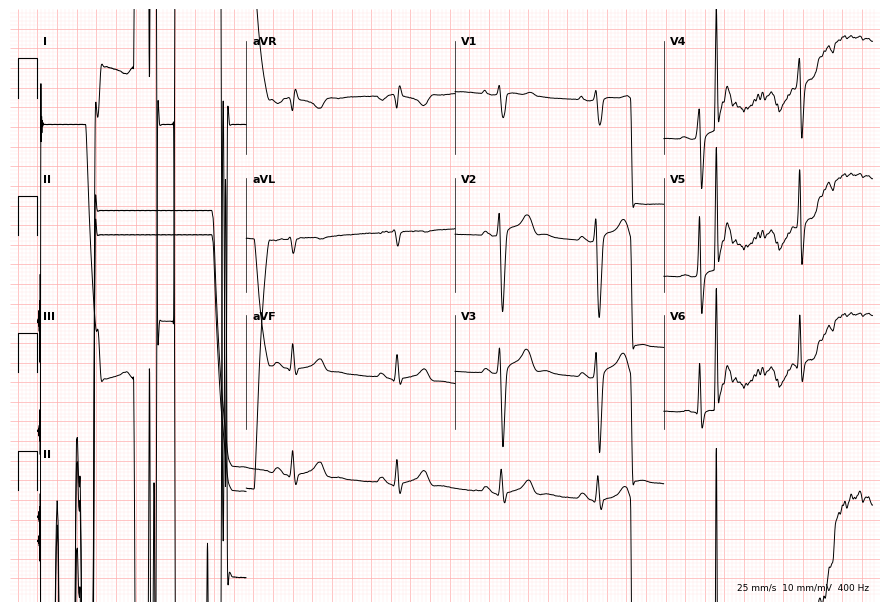
12-lead ECG from a female patient, 31 years old. No first-degree AV block, right bundle branch block, left bundle branch block, sinus bradycardia, atrial fibrillation or sinus tachycardia recorded for this tracing. Only these six findings were labelled.